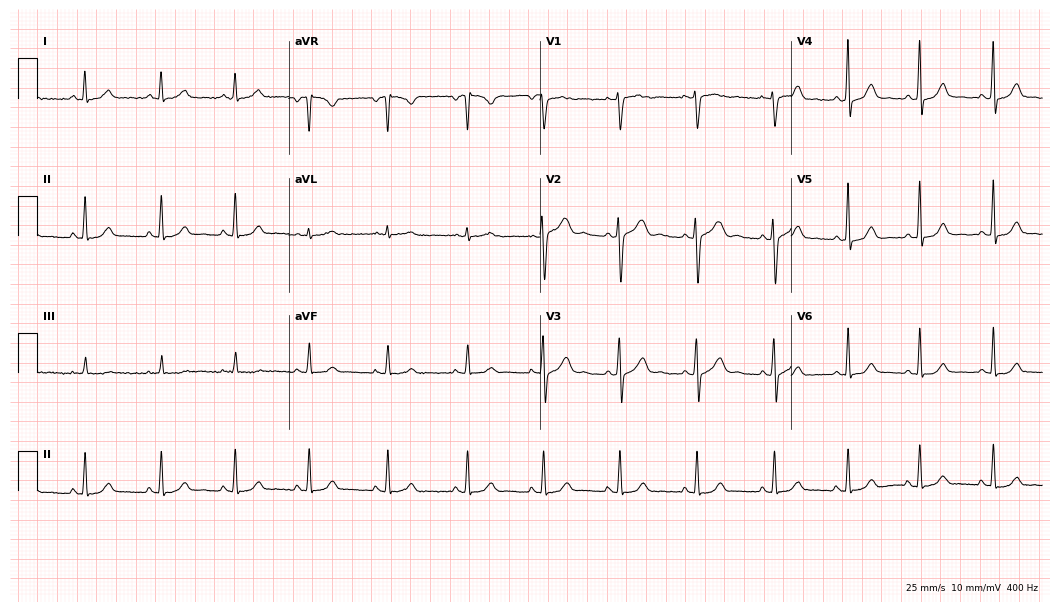
ECG — a 65-year-old woman. Screened for six findings — first-degree AV block, right bundle branch block (RBBB), left bundle branch block (LBBB), sinus bradycardia, atrial fibrillation (AF), sinus tachycardia — none is recorded.